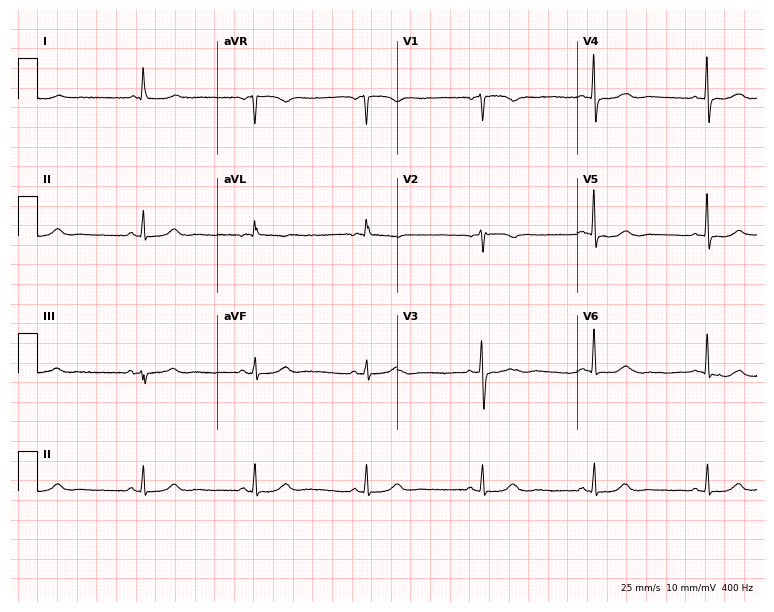
Standard 12-lead ECG recorded from a woman, 61 years old (7.3-second recording at 400 Hz). None of these six findings is recorded: first-degree AV block, right bundle branch block (RBBB), left bundle branch block (LBBB), sinus bradycardia, atrial fibrillation (AF), sinus tachycardia. Findings outside these six are not listed.